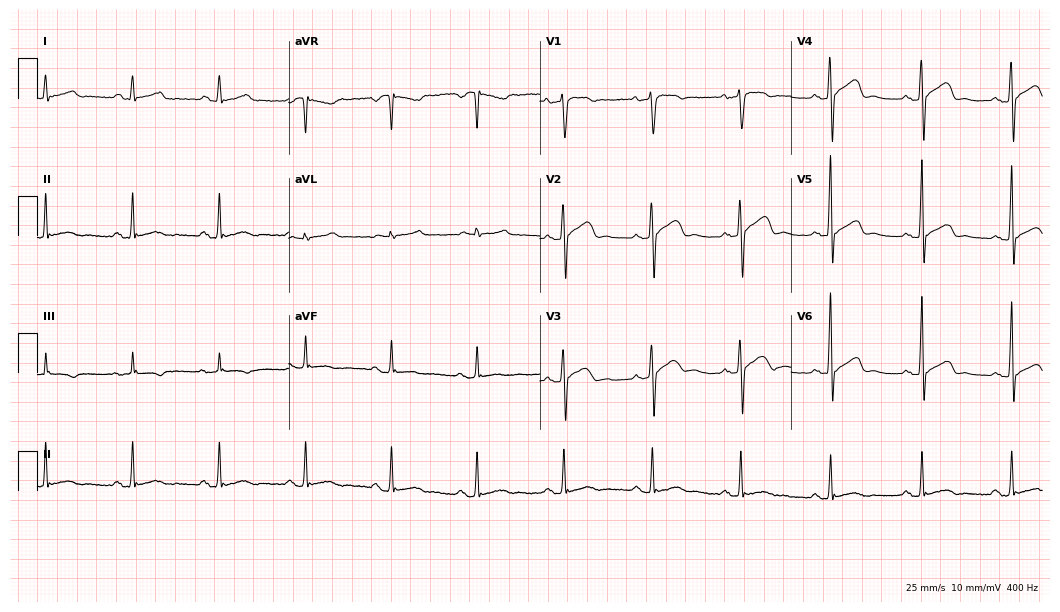
Electrocardiogram, a male patient, 49 years old. Of the six screened findings (first-degree AV block, right bundle branch block, left bundle branch block, sinus bradycardia, atrial fibrillation, sinus tachycardia), none is recorded.